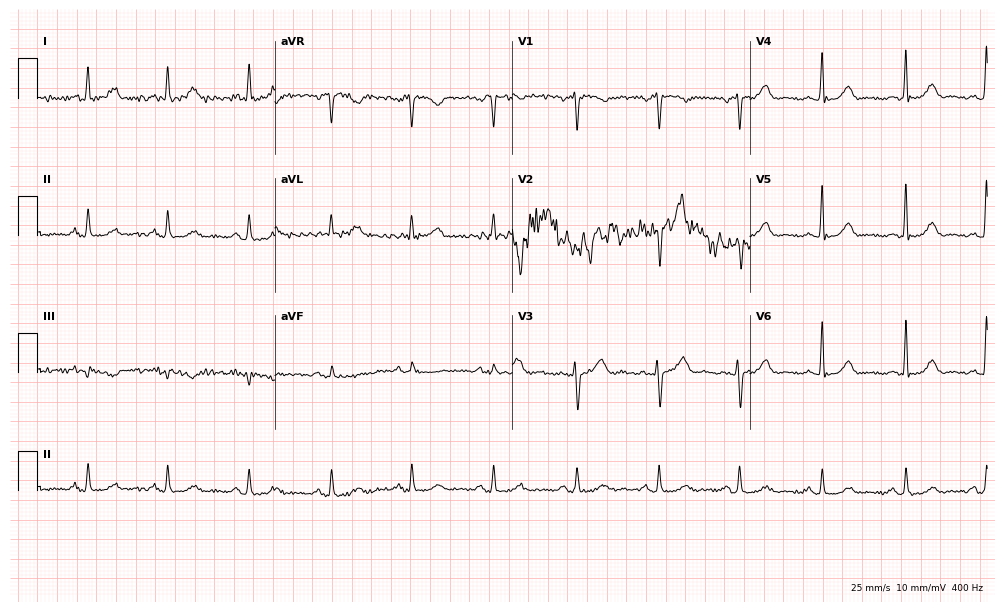
ECG (9.7-second recording at 400 Hz) — a woman, 49 years old. Labelled as a normal ECG.